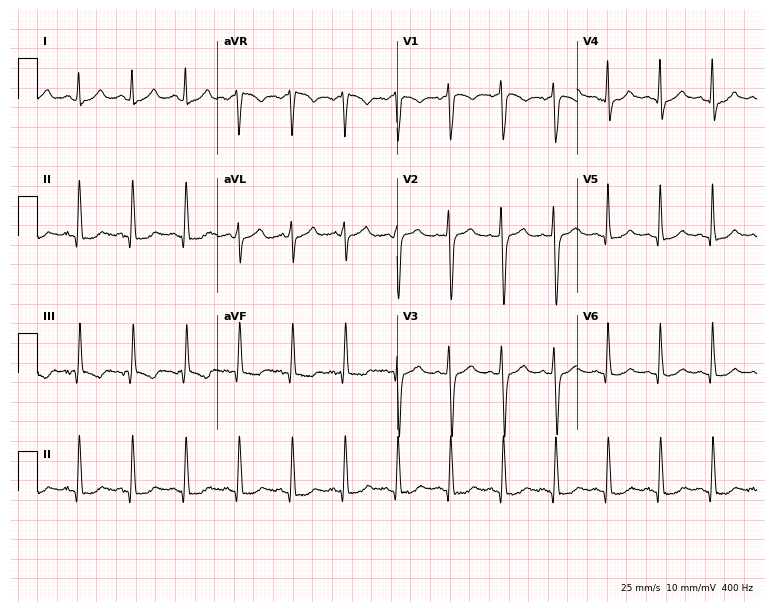
Resting 12-lead electrocardiogram. Patient: a woman, 36 years old. None of these six findings is recorded: first-degree AV block, right bundle branch block, left bundle branch block, sinus bradycardia, atrial fibrillation, sinus tachycardia. Other findings, if any, are not listed.